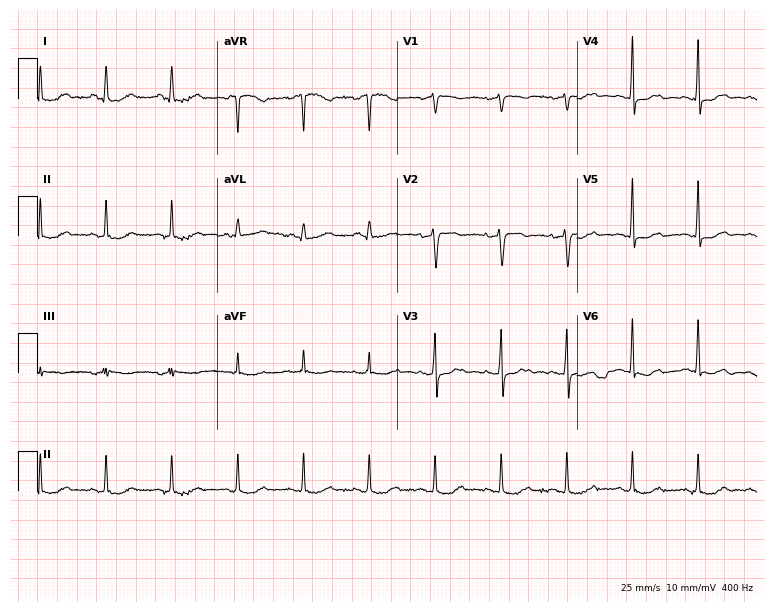
12-lead ECG from a 61-year-old female (7.3-second recording at 400 Hz). No first-degree AV block, right bundle branch block, left bundle branch block, sinus bradycardia, atrial fibrillation or sinus tachycardia recorded for this tracing.